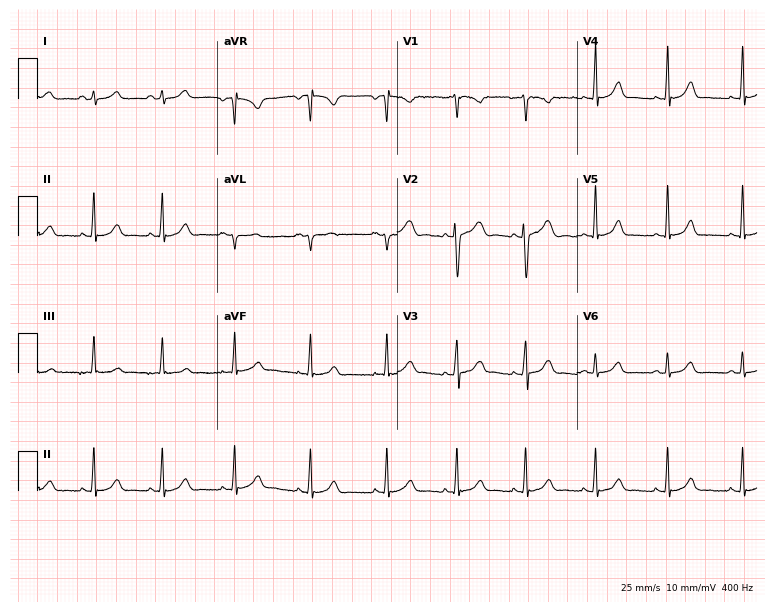
Resting 12-lead electrocardiogram (7.3-second recording at 400 Hz). Patient: a 19-year-old female. Read as a normal ECG.